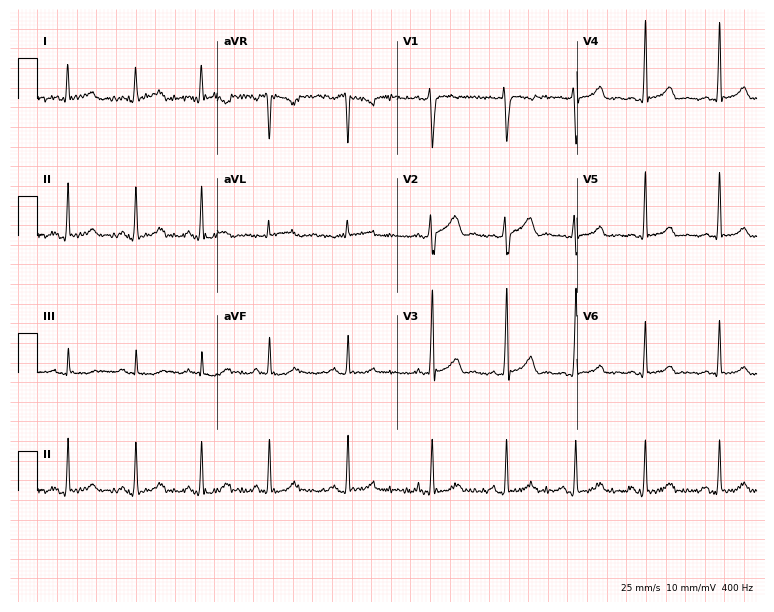
Standard 12-lead ECG recorded from a female, 23 years old. Read as a normal ECG.